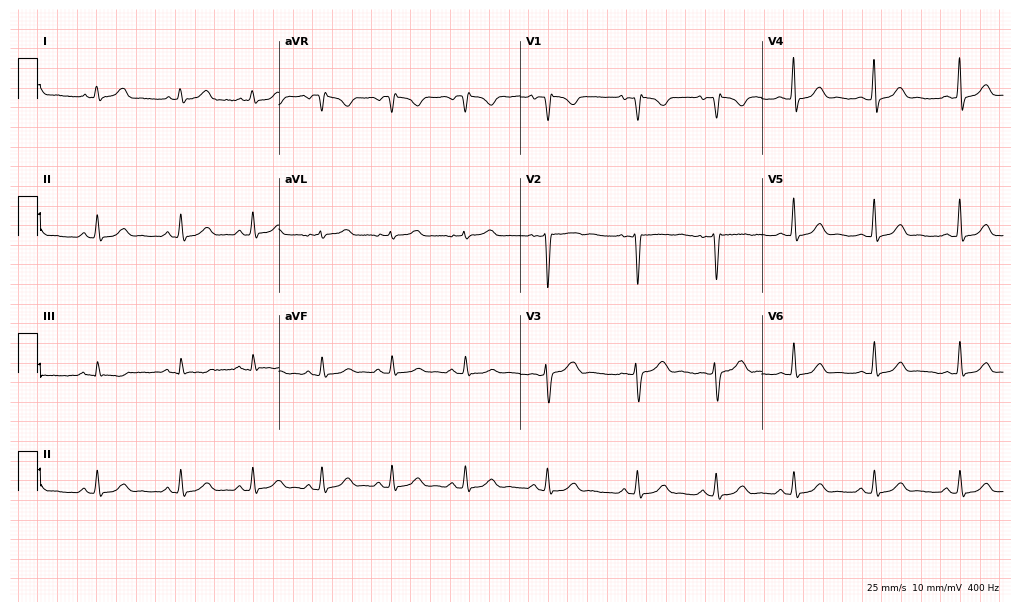
12-lead ECG (9.8-second recording at 400 Hz) from a 29-year-old female patient. Labelled as a normal ECG.